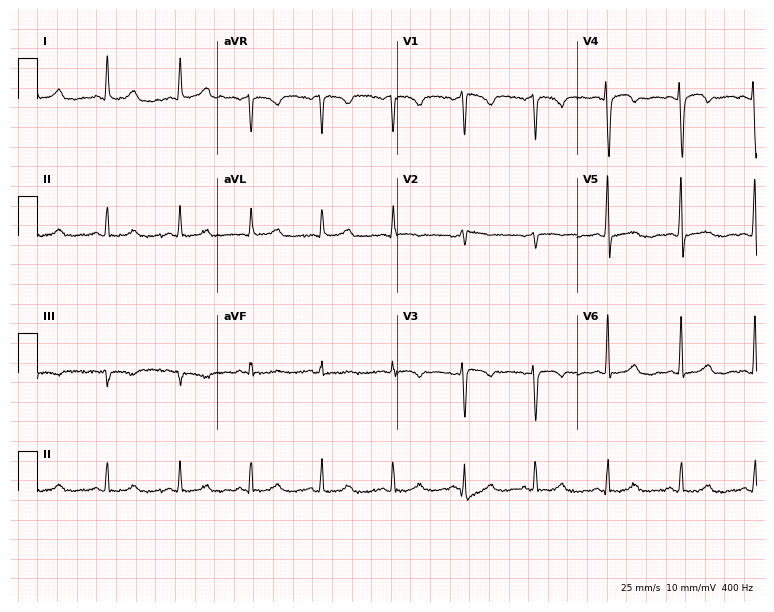
ECG — a woman, 35 years old. Screened for six findings — first-degree AV block, right bundle branch block, left bundle branch block, sinus bradycardia, atrial fibrillation, sinus tachycardia — none is recorded. Findings outside these six are not listed.